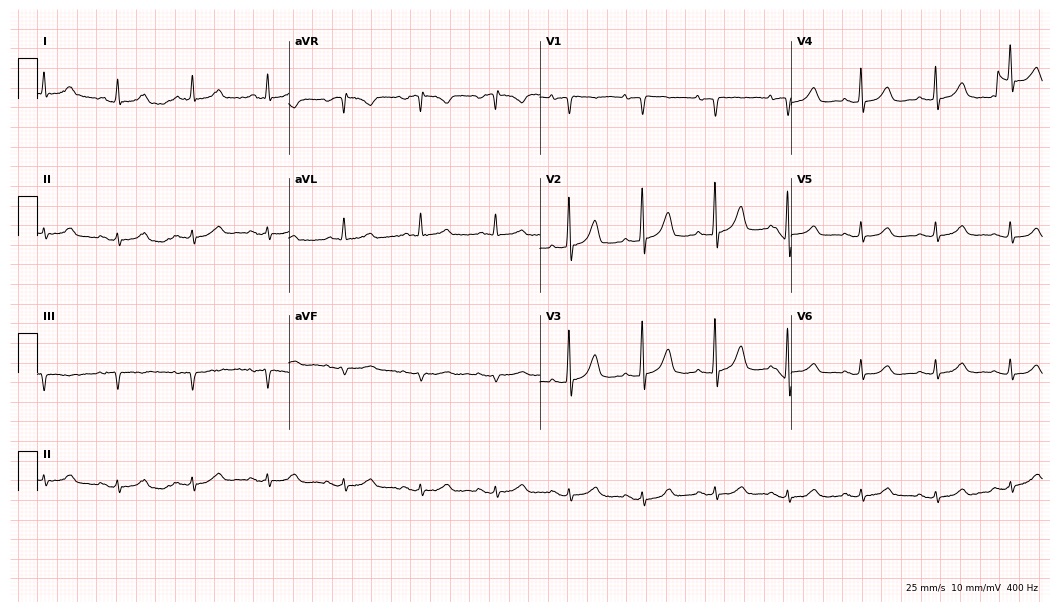
Resting 12-lead electrocardiogram (10.2-second recording at 400 Hz). Patient: a female, 78 years old. Read as a normal ECG.